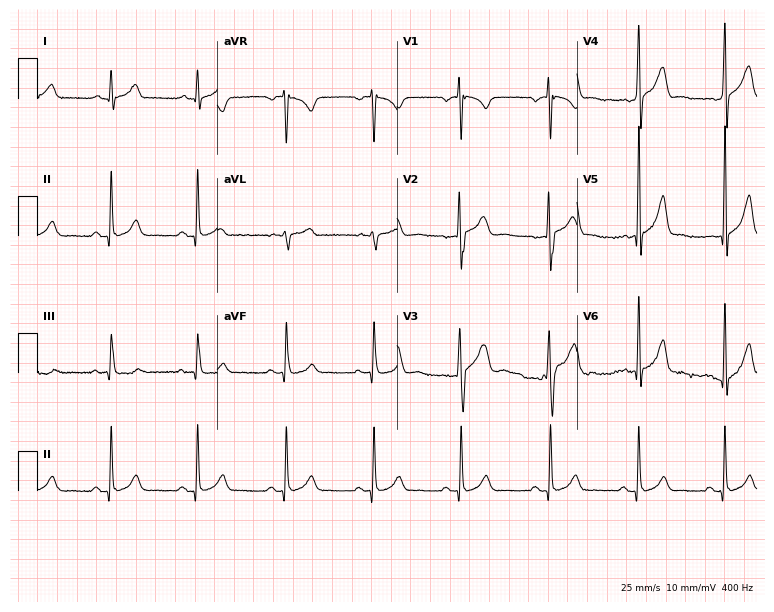
12-lead ECG from a 30-year-old man. Labelled as a normal ECG.